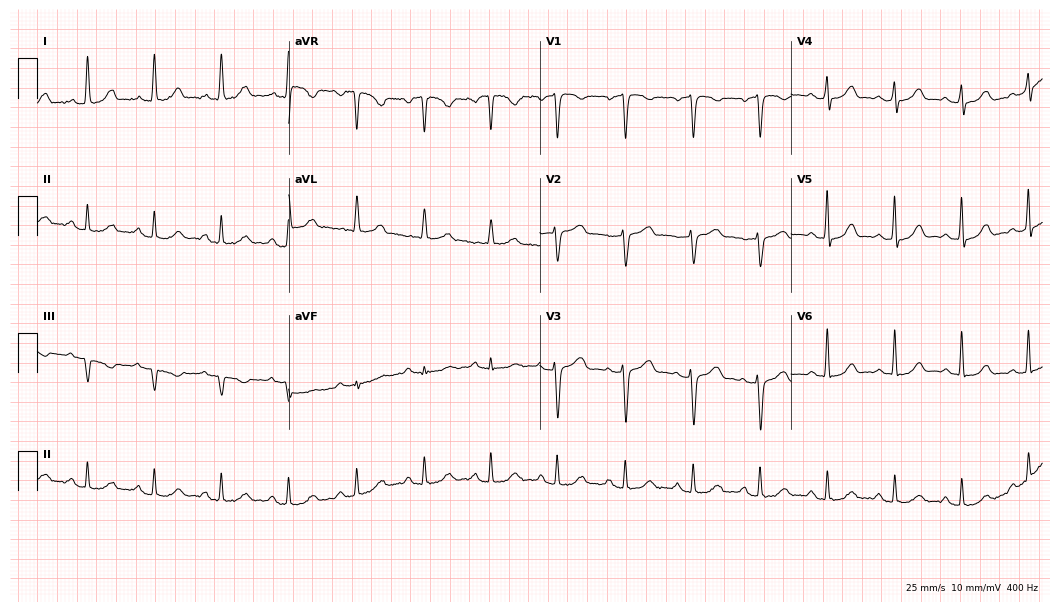
Resting 12-lead electrocardiogram (10.2-second recording at 400 Hz). Patient: a woman, 59 years old. Read as a normal ECG.